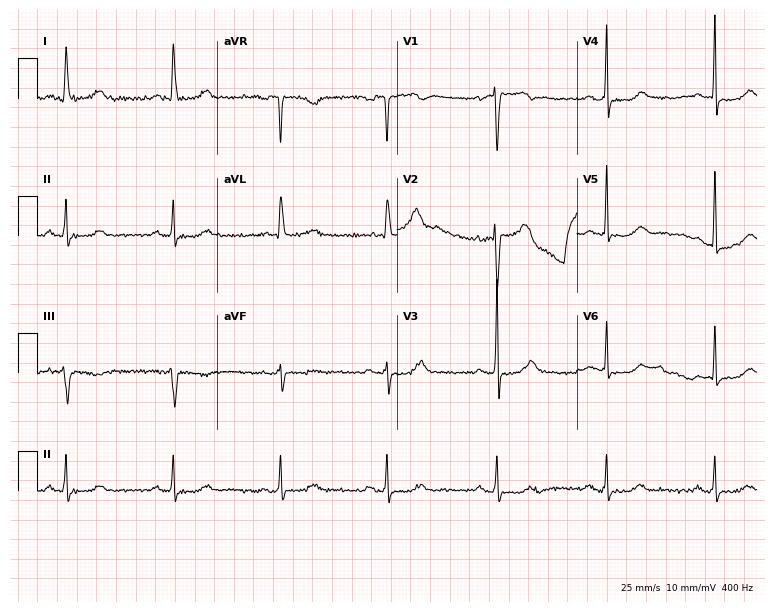
12-lead ECG from a woman, 61 years old. Recorded interpretation: within normal limits.